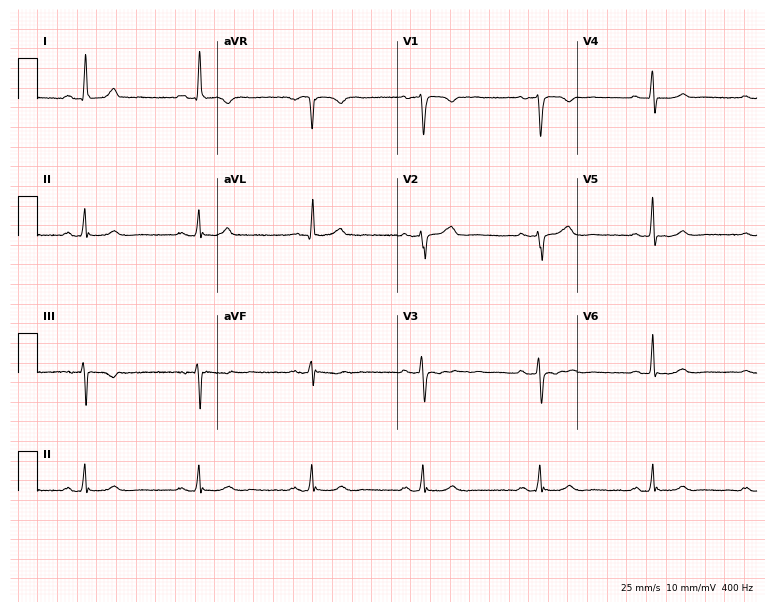
Resting 12-lead electrocardiogram (7.3-second recording at 400 Hz). Patient: a 56-year-old woman. The tracing shows sinus bradycardia (a sinus rate of 50 beats per minute or less).